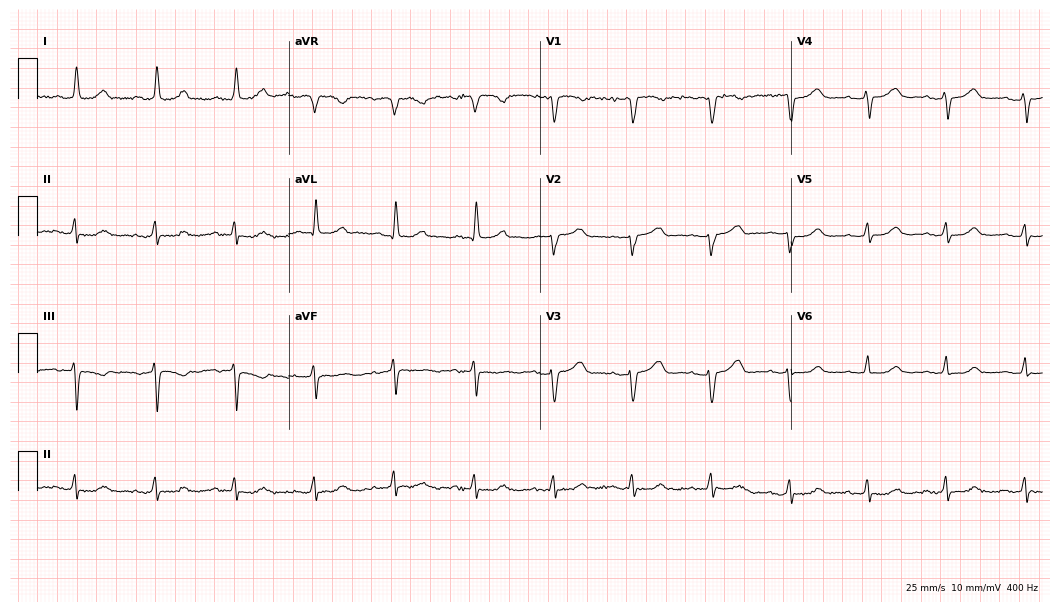
ECG — a female patient, 71 years old. Screened for six findings — first-degree AV block, right bundle branch block (RBBB), left bundle branch block (LBBB), sinus bradycardia, atrial fibrillation (AF), sinus tachycardia — none is recorded. Other findings, if any, are not listed.